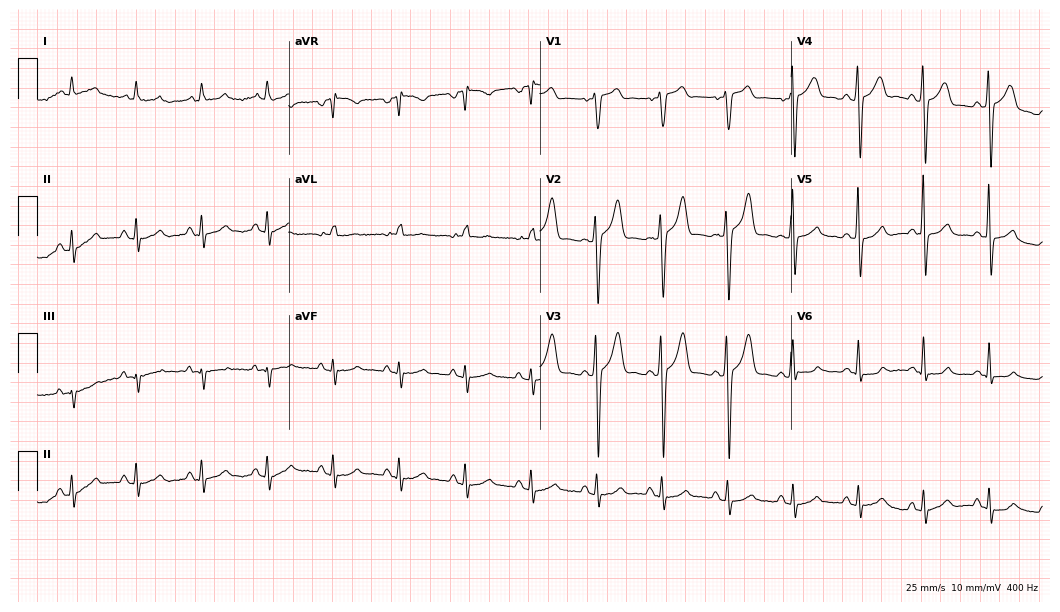
ECG — a male, 61 years old. Labelled as a normal ECG.